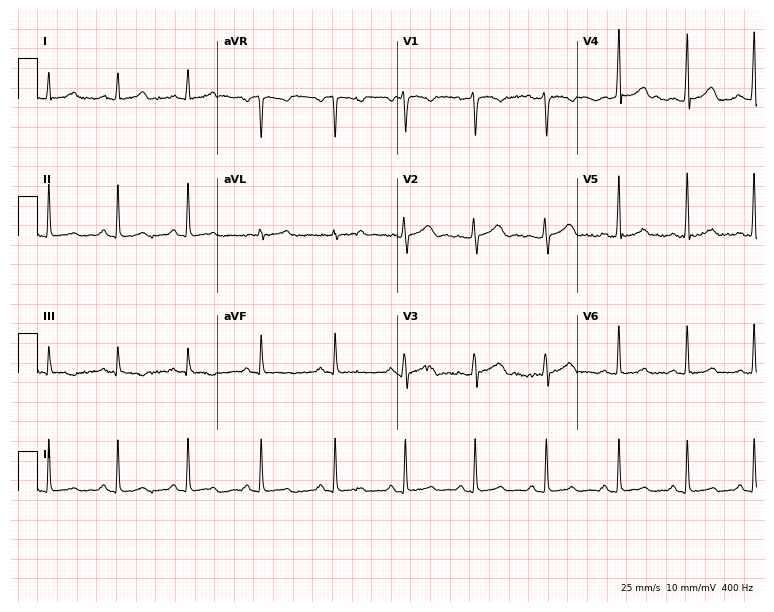
12-lead ECG from a female, 40 years old (7.3-second recording at 400 Hz). Recorded interpretation: within normal limits.